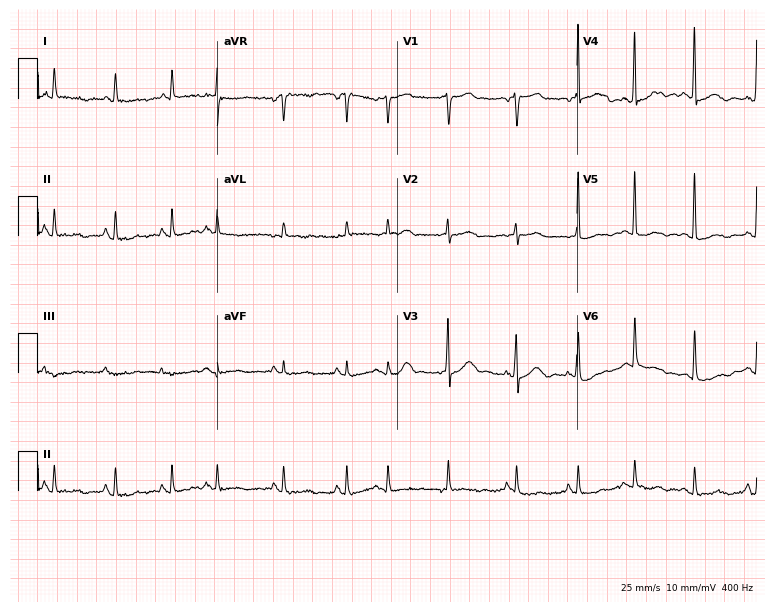
Standard 12-lead ECG recorded from an 85-year-old woman (7.3-second recording at 400 Hz). None of these six findings is recorded: first-degree AV block, right bundle branch block (RBBB), left bundle branch block (LBBB), sinus bradycardia, atrial fibrillation (AF), sinus tachycardia. Findings outside these six are not listed.